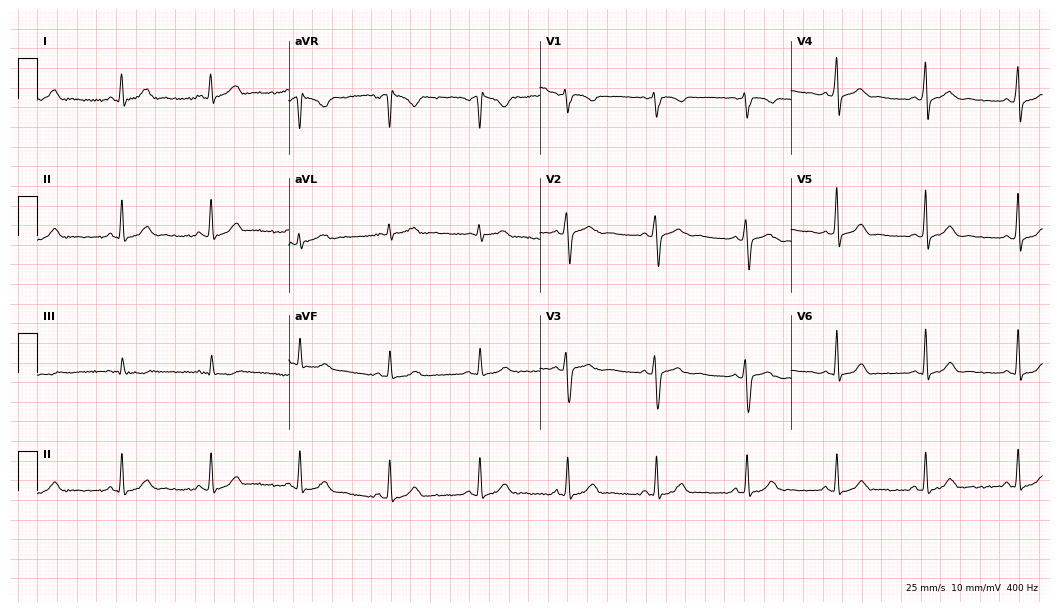
ECG — a woman, 39 years old. Labelled as a normal ECG.